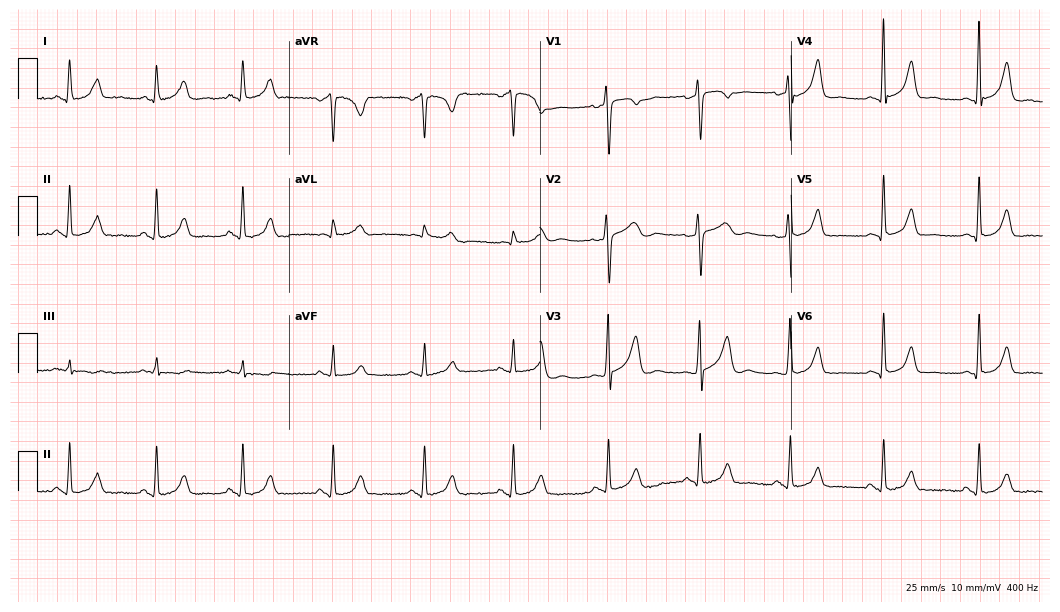
ECG (10.2-second recording at 400 Hz) — a 39-year-old woman. Labelled as a normal ECG.